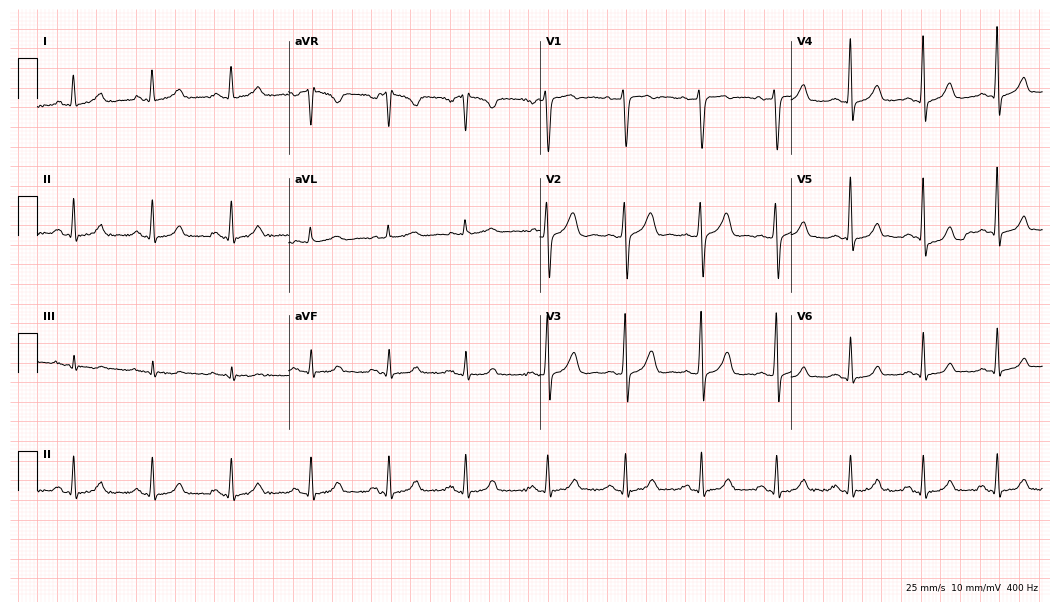
Electrocardiogram, a female patient, 37 years old. Overall reading on record: normal ECG.